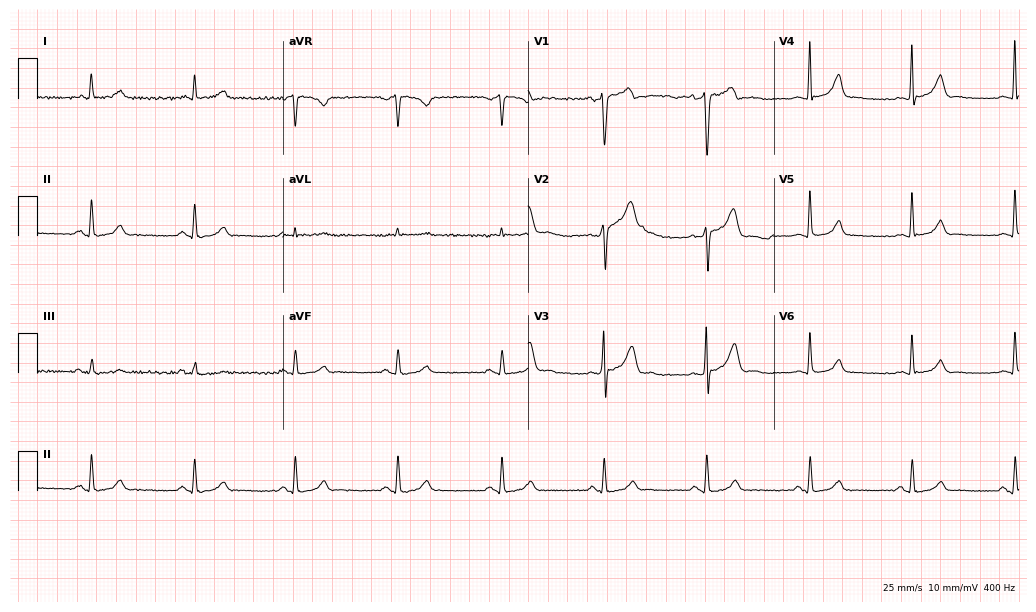
ECG (10-second recording at 400 Hz) — a male patient, 60 years old. Screened for six findings — first-degree AV block, right bundle branch block, left bundle branch block, sinus bradycardia, atrial fibrillation, sinus tachycardia — none is recorded.